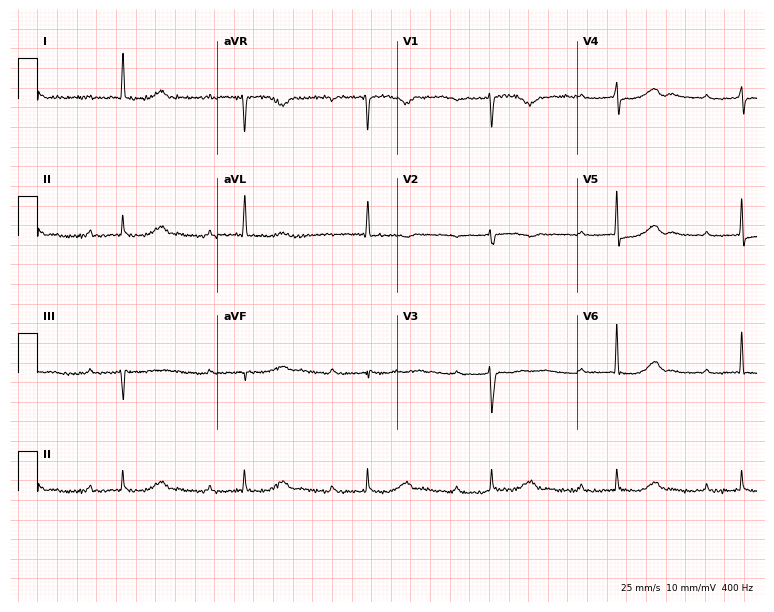
Electrocardiogram (7.3-second recording at 400 Hz), a woman, 82 years old. Interpretation includes first-degree AV block, sinus bradycardia (a sinus rate of 50 beats per minute or less).